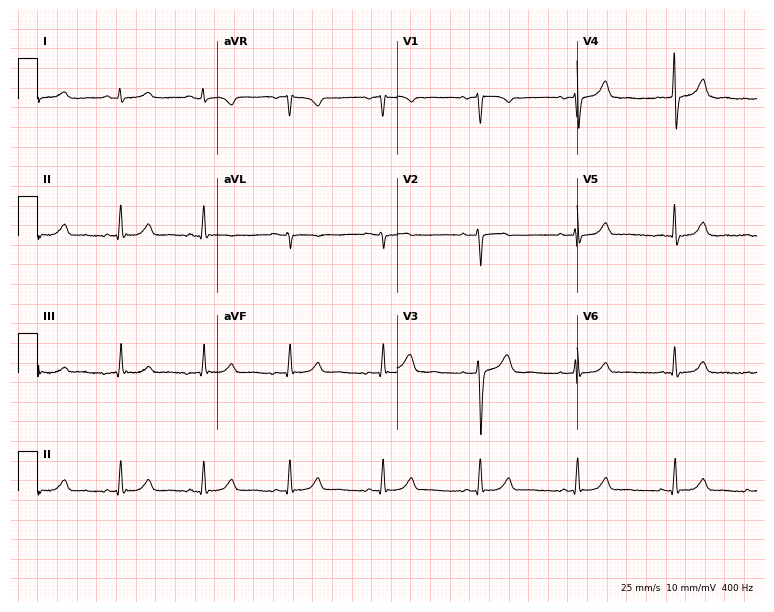
Standard 12-lead ECG recorded from a 41-year-old woman (7.3-second recording at 400 Hz). None of these six findings is recorded: first-degree AV block, right bundle branch block (RBBB), left bundle branch block (LBBB), sinus bradycardia, atrial fibrillation (AF), sinus tachycardia. Findings outside these six are not listed.